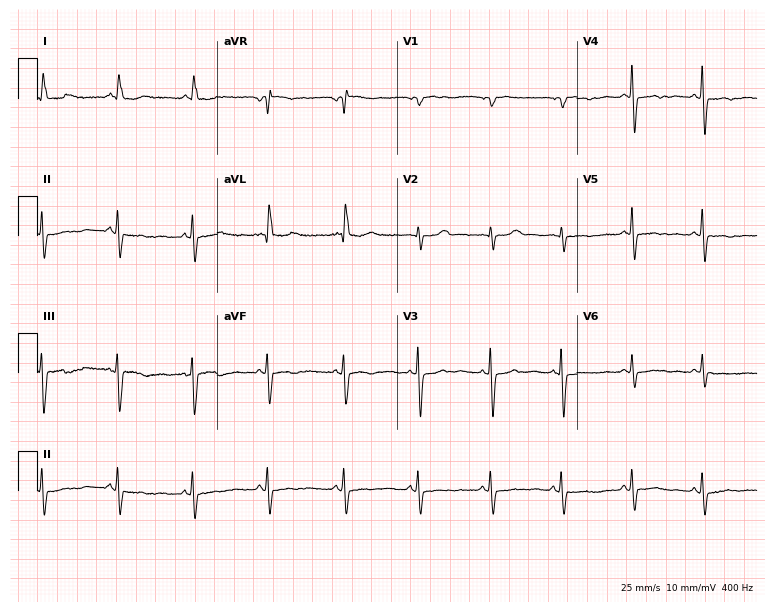
Resting 12-lead electrocardiogram (7.3-second recording at 400 Hz). Patient: a 63-year-old woman. None of these six findings is recorded: first-degree AV block, right bundle branch block, left bundle branch block, sinus bradycardia, atrial fibrillation, sinus tachycardia. Findings outside these six are not listed.